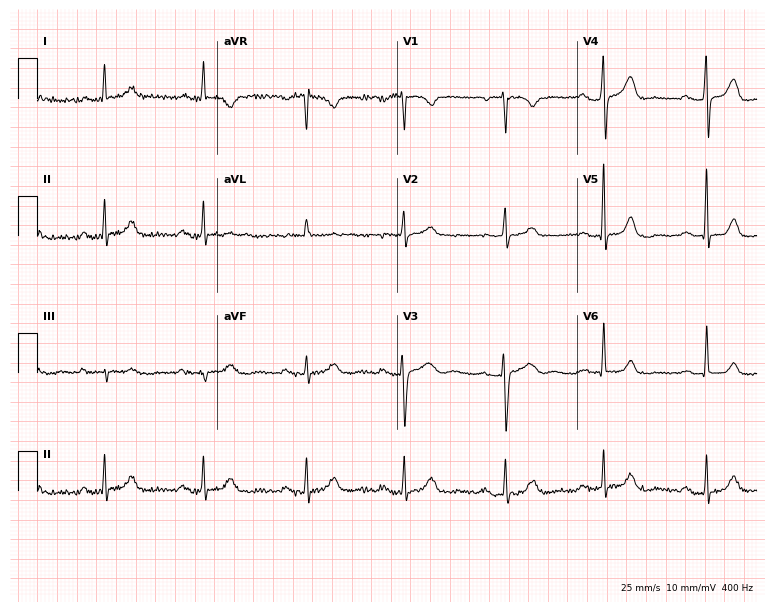
ECG — a 65-year-old woman. Findings include first-degree AV block.